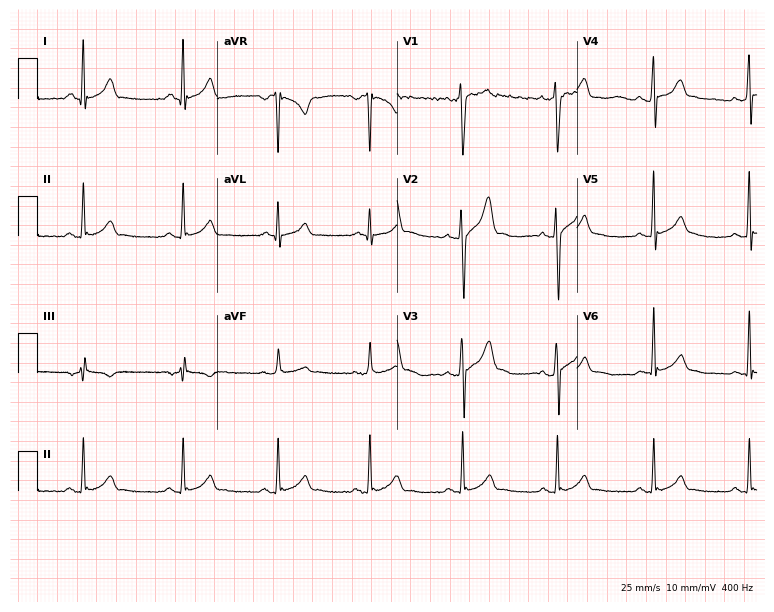
Resting 12-lead electrocardiogram (7.3-second recording at 400 Hz). Patient: a 32-year-old male. Read as a normal ECG.